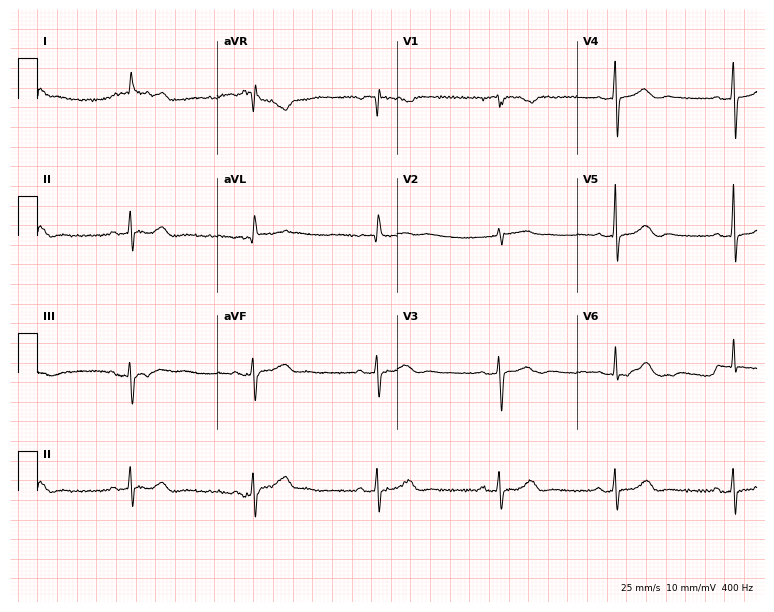
Resting 12-lead electrocardiogram (7.3-second recording at 400 Hz). Patient: a woman, 73 years old. Read as a normal ECG.